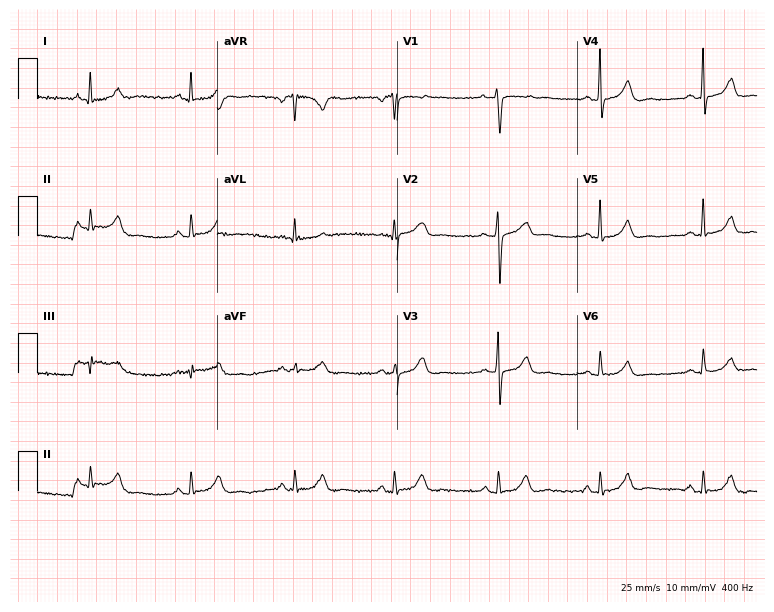
ECG (7.3-second recording at 400 Hz) — a female, 54 years old. Screened for six findings — first-degree AV block, right bundle branch block, left bundle branch block, sinus bradycardia, atrial fibrillation, sinus tachycardia — none is recorded. Only these six findings were labelled.